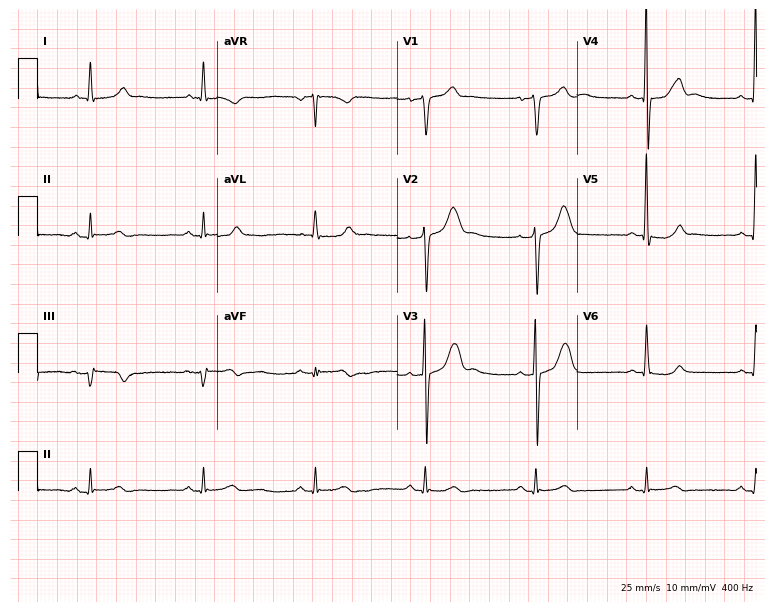
Resting 12-lead electrocardiogram. Patient: a male, 72 years old. Read as a normal ECG.